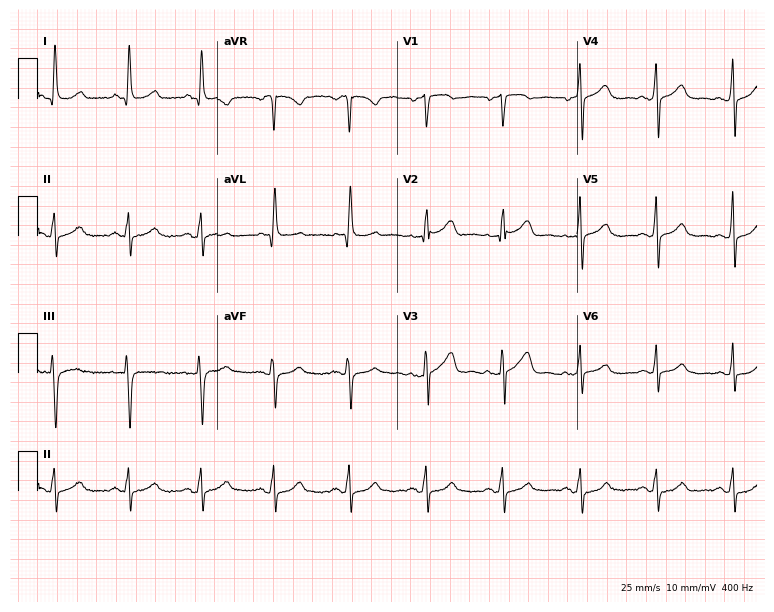
Electrocardiogram (7.3-second recording at 400 Hz), a 50-year-old woman. Of the six screened findings (first-degree AV block, right bundle branch block, left bundle branch block, sinus bradycardia, atrial fibrillation, sinus tachycardia), none is recorded.